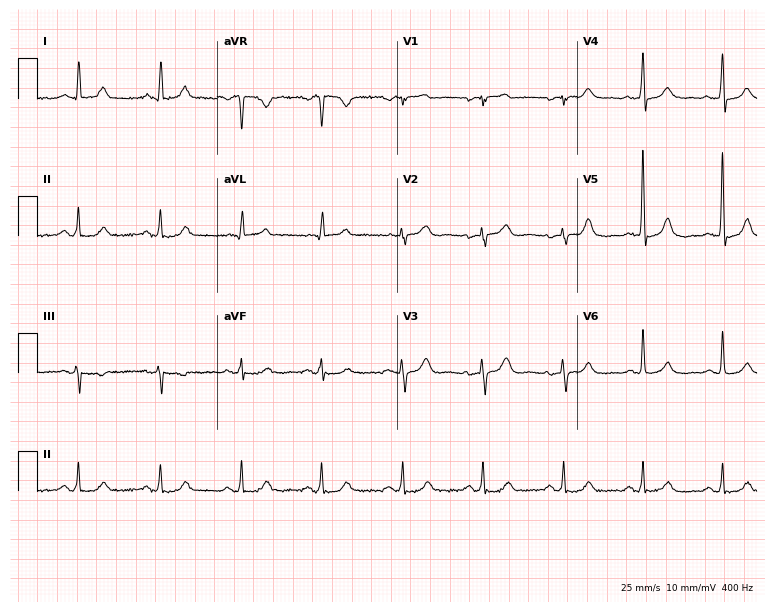
12-lead ECG from a 48-year-old male patient (7.3-second recording at 400 Hz). Recorded interpretation: within normal limits.